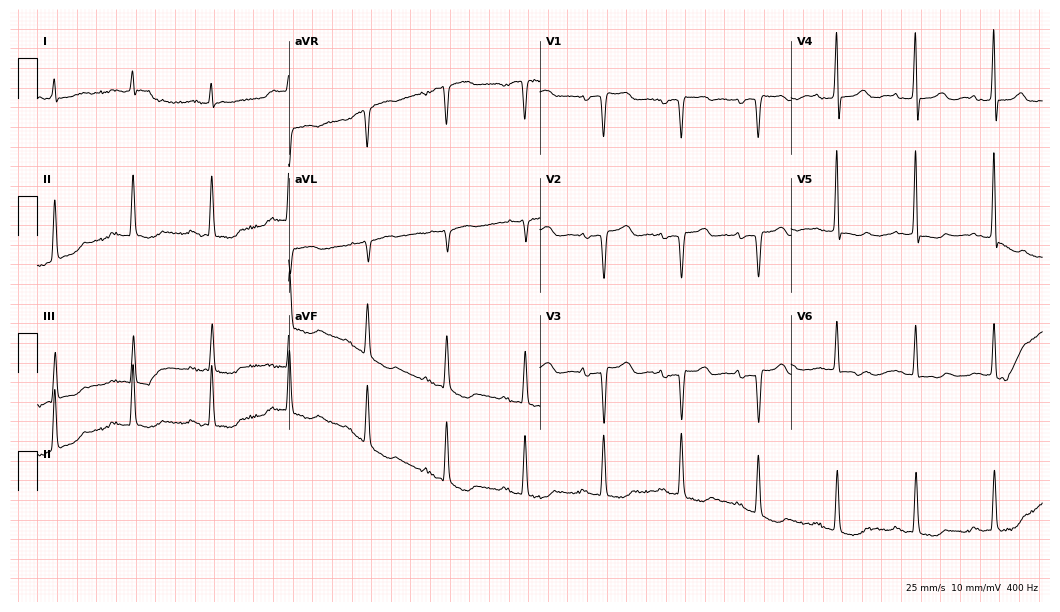
Resting 12-lead electrocardiogram (10.2-second recording at 400 Hz). Patient: an 85-year-old female. None of these six findings is recorded: first-degree AV block, right bundle branch block (RBBB), left bundle branch block (LBBB), sinus bradycardia, atrial fibrillation (AF), sinus tachycardia. Other findings, if any, are not listed.